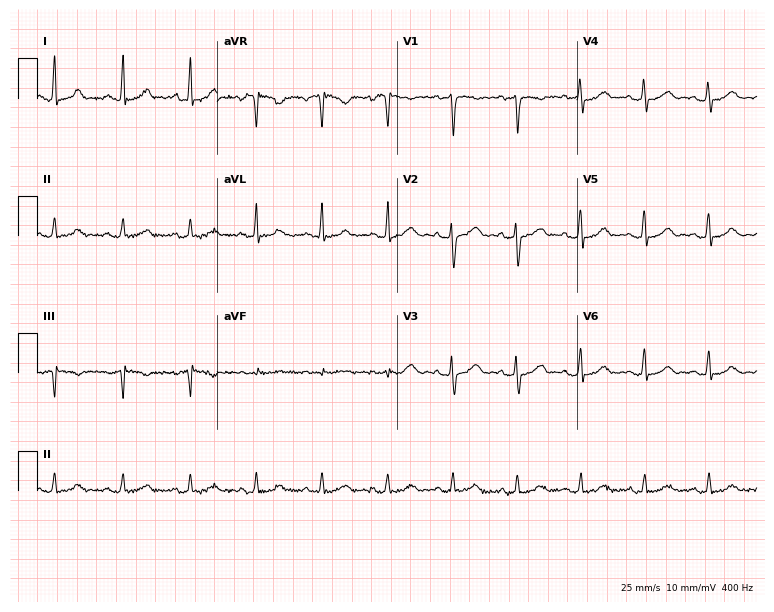
Electrocardiogram (7.3-second recording at 400 Hz), a 37-year-old woman. Of the six screened findings (first-degree AV block, right bundle branch block, left bundle branch block, sinus bradycardia, atrial fibrillation, sinus tachycardia), none is recorded.